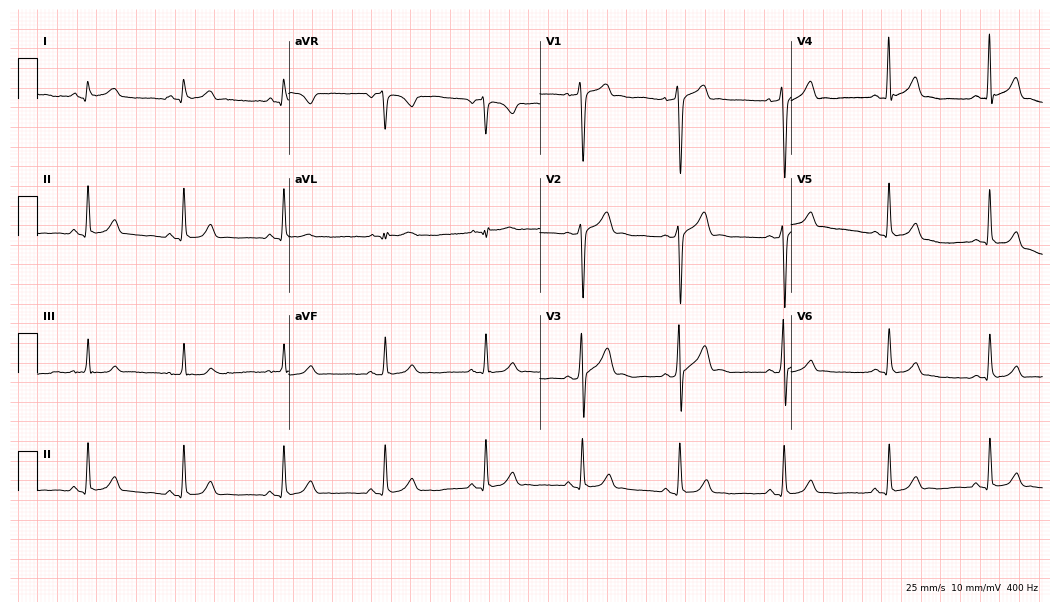
Resting 12-lead electrocardiogram. Patient: a 33-year-old man. Read as a normal ECG.